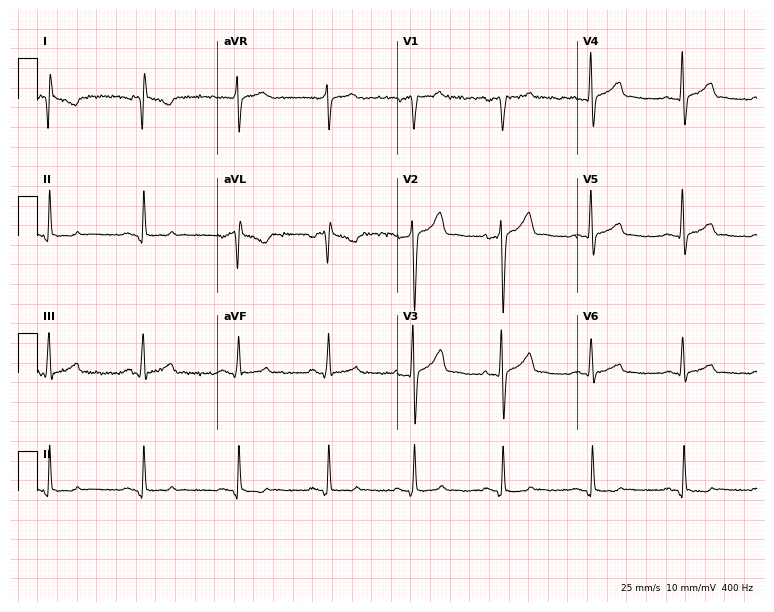
Electrocardiogram, a 46-year-old male. Of the six screened findings (first-degree AV block, right bundle branch block, left bundle branch block, sinus bradycardia, atrial fibrillation, sinus tachycardia), none is recorded.